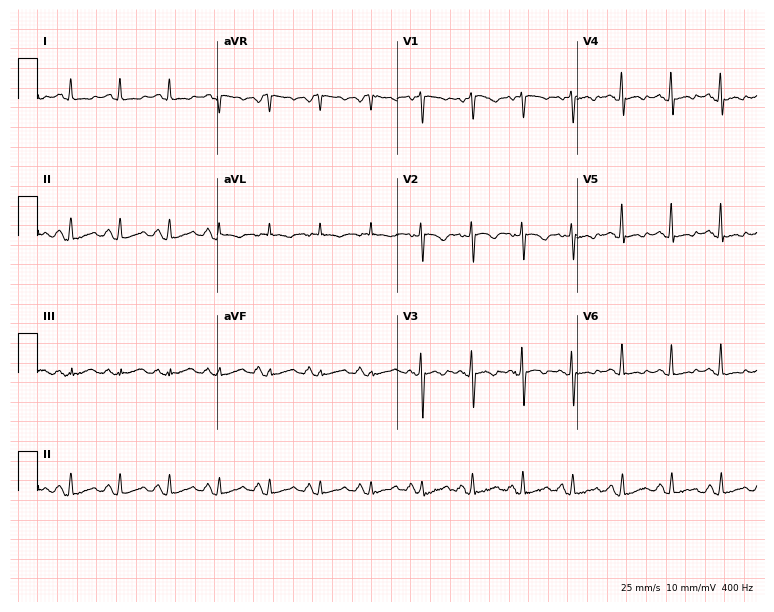
12-lead ECG from a female patient, 37 years old. Findings include sinus tachycardia (a sinus rate of 100 beats per minute or more).